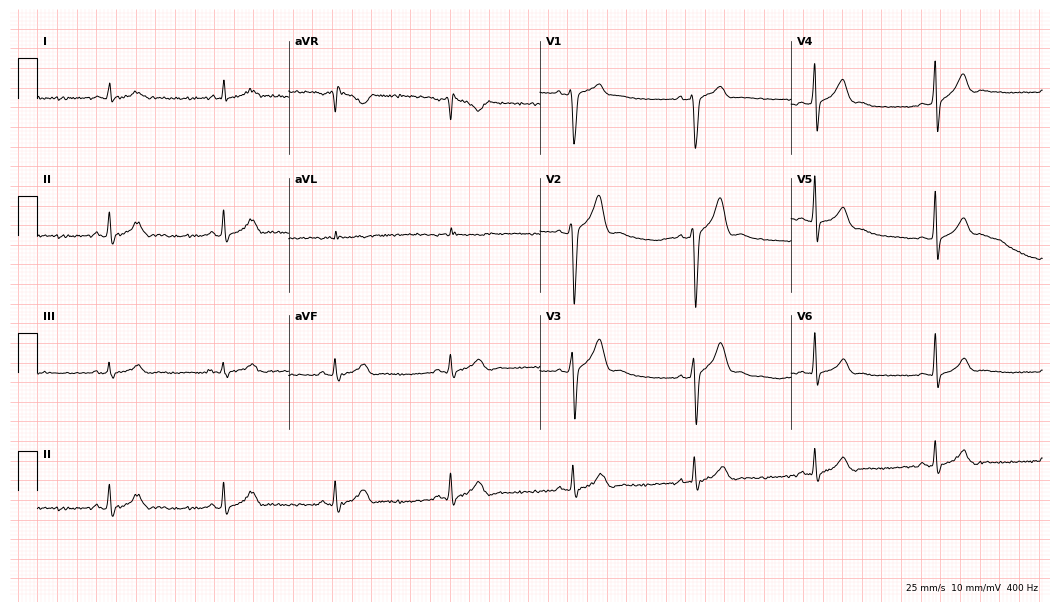
12-lead ECG from a 36-year-old man (10.2-second recording at 400 Hz). Recorded interpretation: within normal limits.